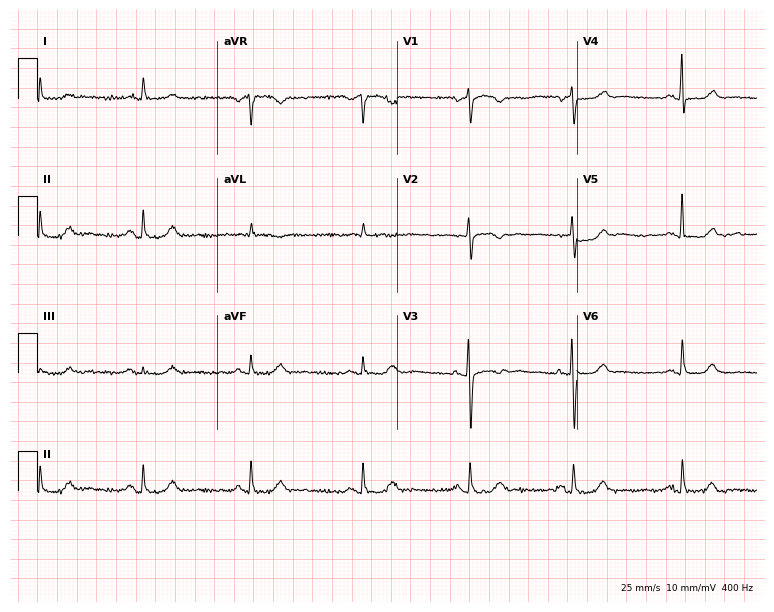
Electrocardiogram (7.3-second recording at 400 Hz), a female patient, 86 years old. Of the six screened findings (first-degree AV block, right bundle branch block, left bundle branch block, sinus bradycardia, atrial fibrillation, sinus tachycardia), none is recorded.